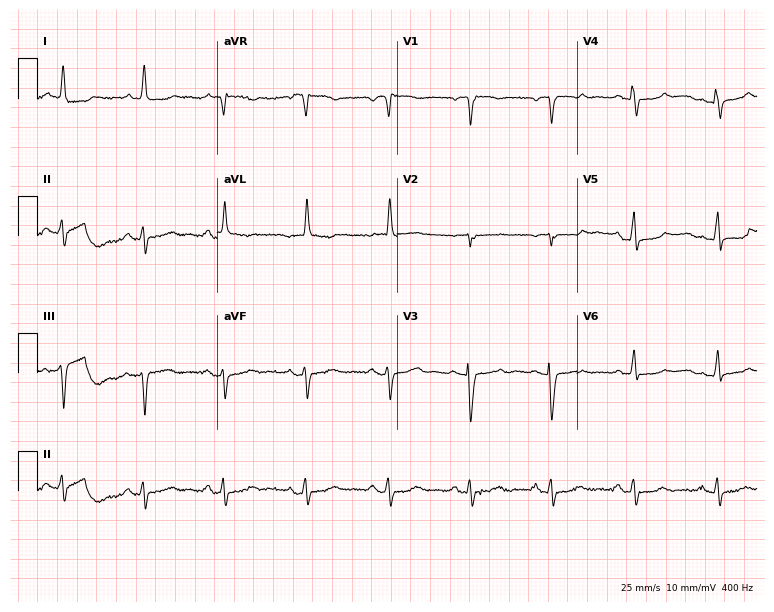
Resting 12-lead electrocardiogram. Patient: an 83-year-old female. None of these six findings is recorded: first-degree AV block, right bundle branch block, left bundle branch block, sinus bradycardia, atrial fibrillation, sinus tachycardia.